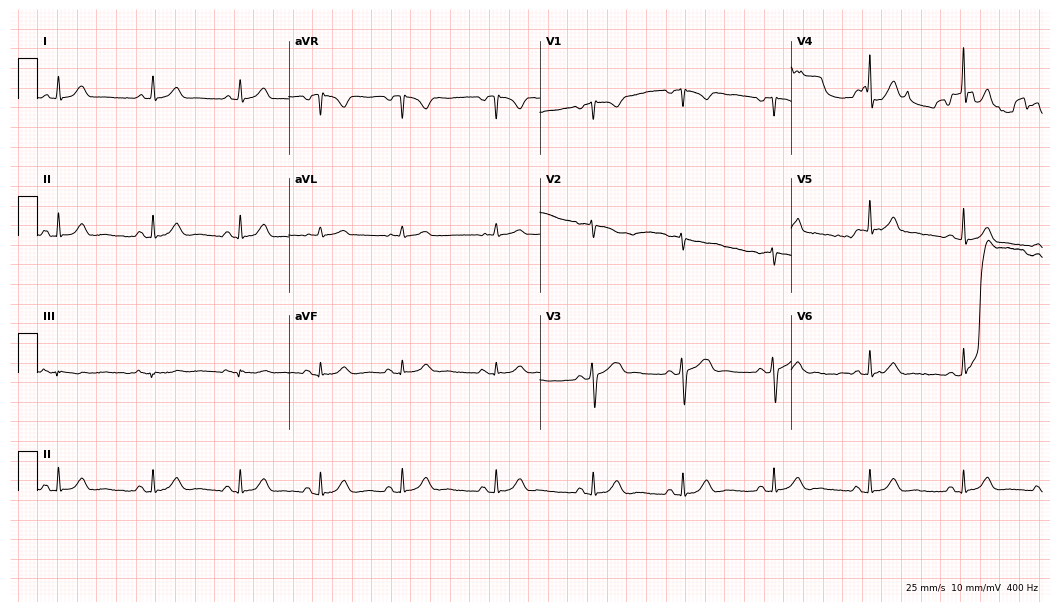
Electrocardiogram, a 38-year-old woman. Overall reading on record: normal ECG.